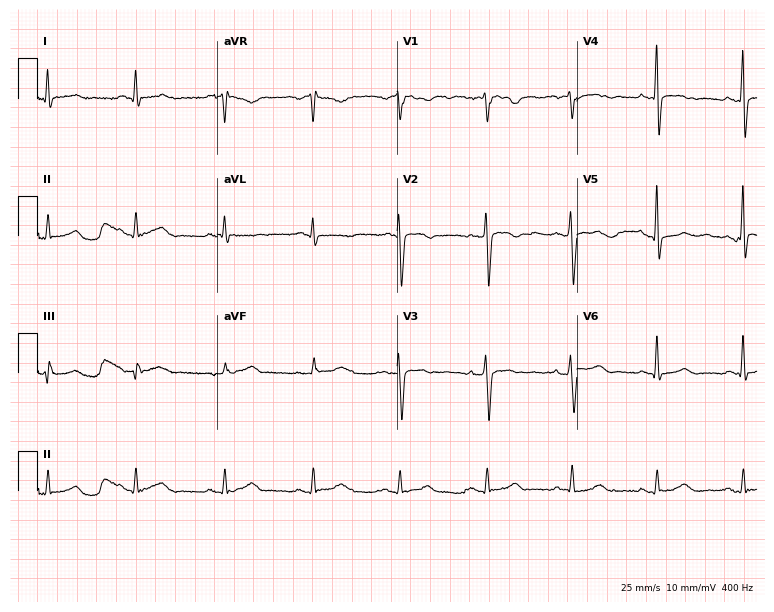
ECG (7.3-second recording at 400 Hz) — a 54-year-old man. Screened for six findings — first-degree AV block, right bundle branch block, left bundle branch block, sinus bradycardia, atrial fibrillation, sinus tachycardia — none is recorded.